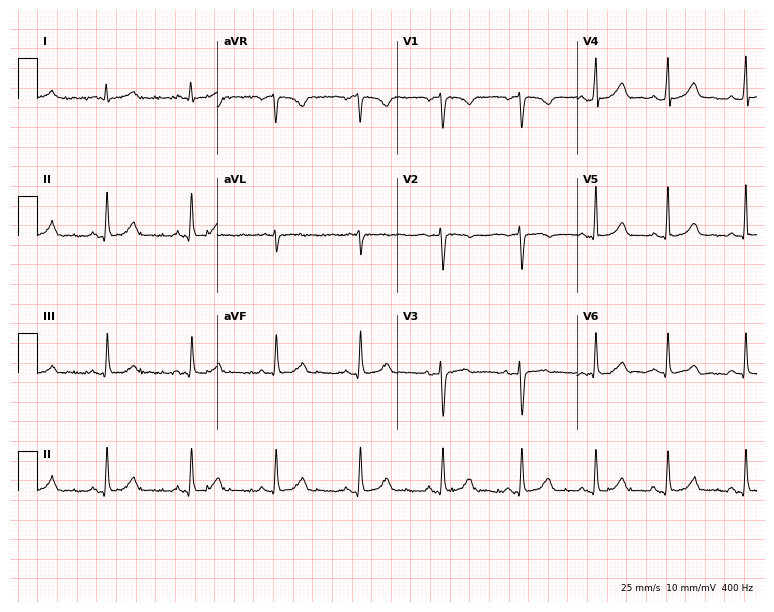
ECG — a female, 37 years old. Labelled as a normal ECG.